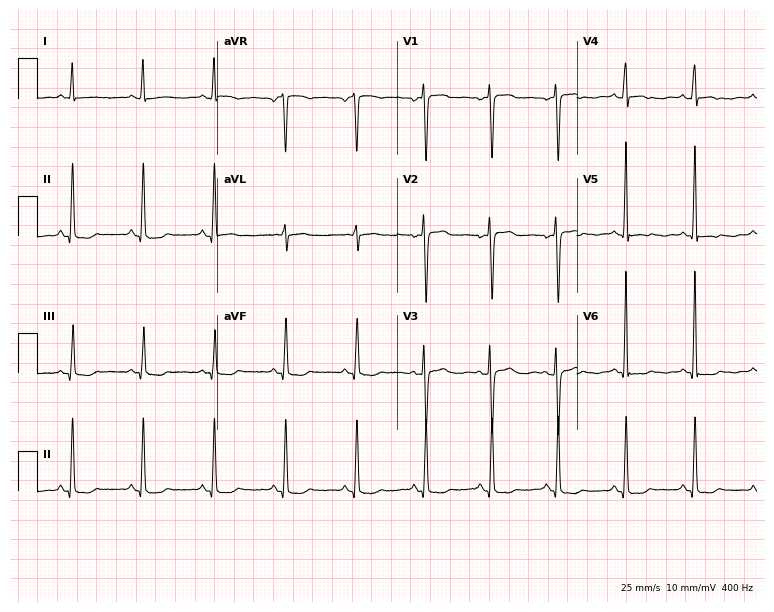
12-lead ECG from a female patient, 33 years old. Screened for six findings — first-degree AV block, right bundle branch block (RBBB), left bundle branch block (LBBB), sinus bradycardia, atrial fibrillation (AF), sinus tachycardia — none is recorded.